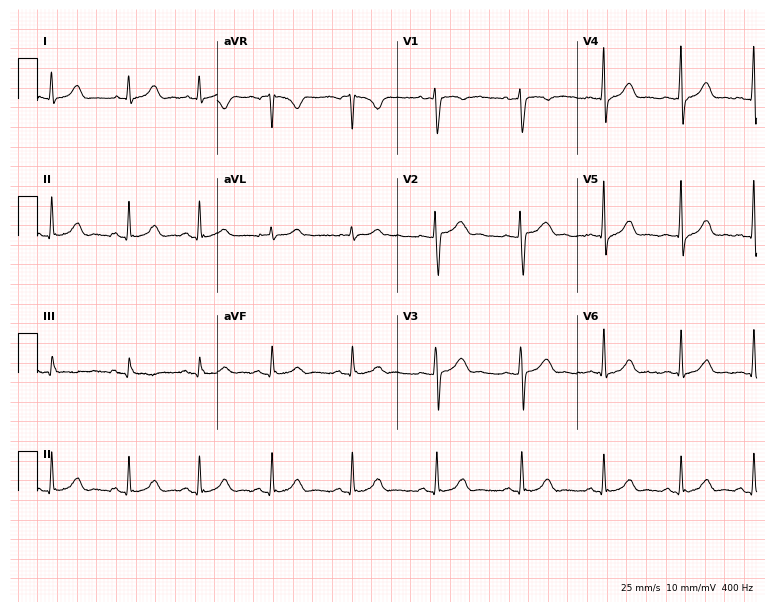
Standard 12-lead ECG recorded from a 27-year-old female patient. None of these six findings is recorded: first-degree AV block, right bundle branch block (RBBB), left bundle branch block (LBBB), sinus bradycardia, atrial fibrillation (AF), sinus tachycardia.